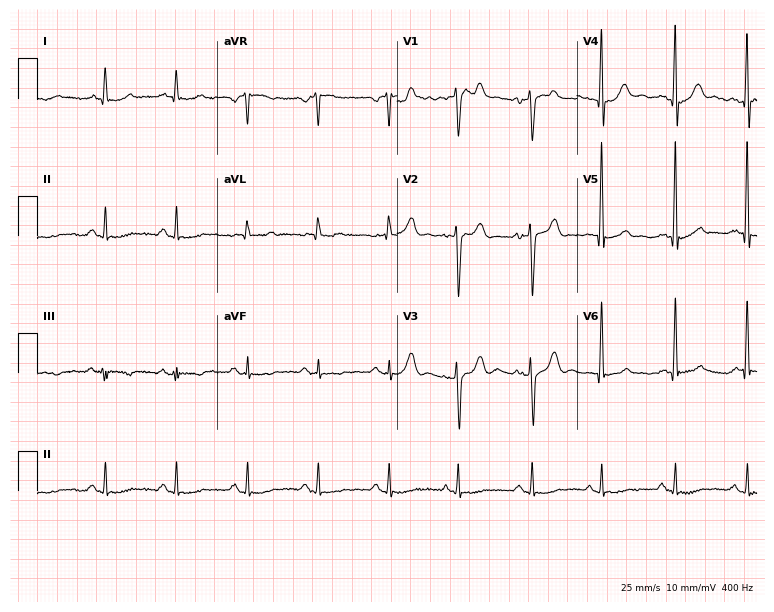
12-lead ECG (7.3-second recording at 400 Hz) from a man, 82 years old. Screened for six findings — first-degree AV block, right bundle branch block, left bundle branch block, sinus bradycardia, atrial fibrillation, sinus tachycardia — none is recorded.